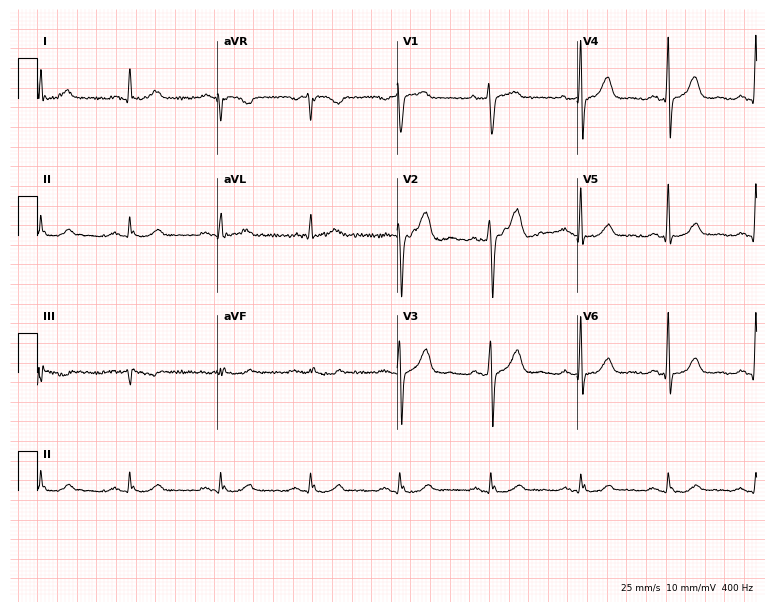
12-lead ECG from a 57-year-old man. No first-degree AV block, right bundle branch block, left bundle branch block, sinus bradycardia, atrial fibrillation or sinus tachycardia recorded for this tracing.